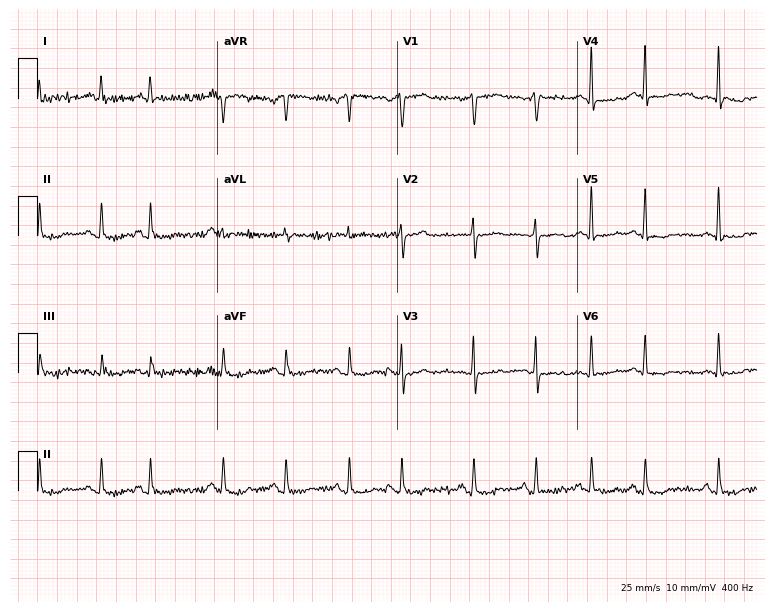
Resting 12-lead electrocardiogram. Patient: a 79-year-old male. None of these six findings is recorded: first-degree AV block, right bundle branch block, left bundle branch block, sinus bradycardia, atrial fibrillation, sinus tachycardia.